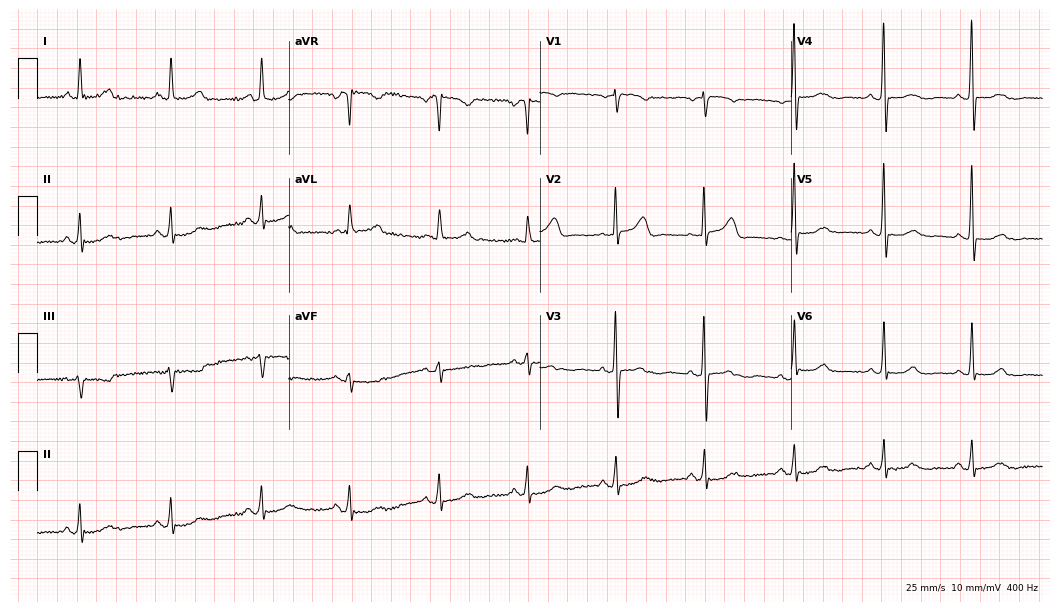
Electrocardiogram, a 62-year-old female. Overall reading on record: normal ECG.